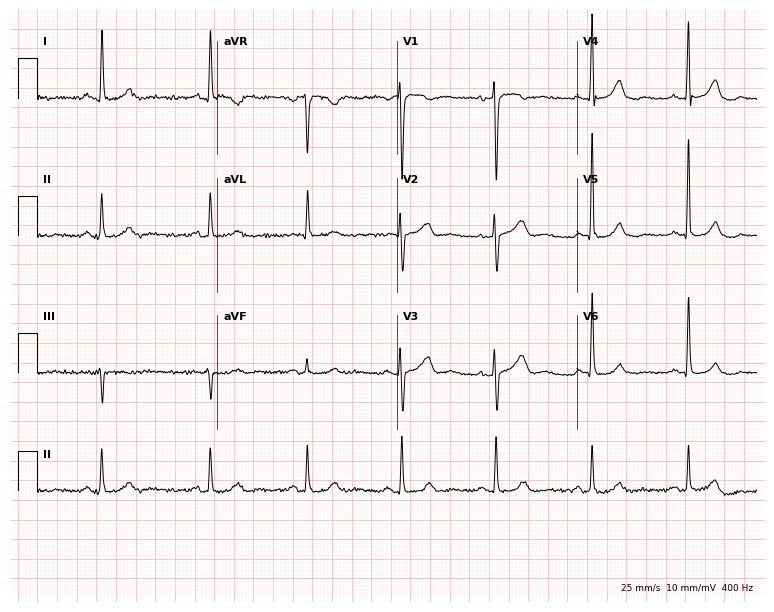
12-lead ECG (7.3-second recording at 400 Hz) from a 67-year-old woman. Labelled as a normal ECG.